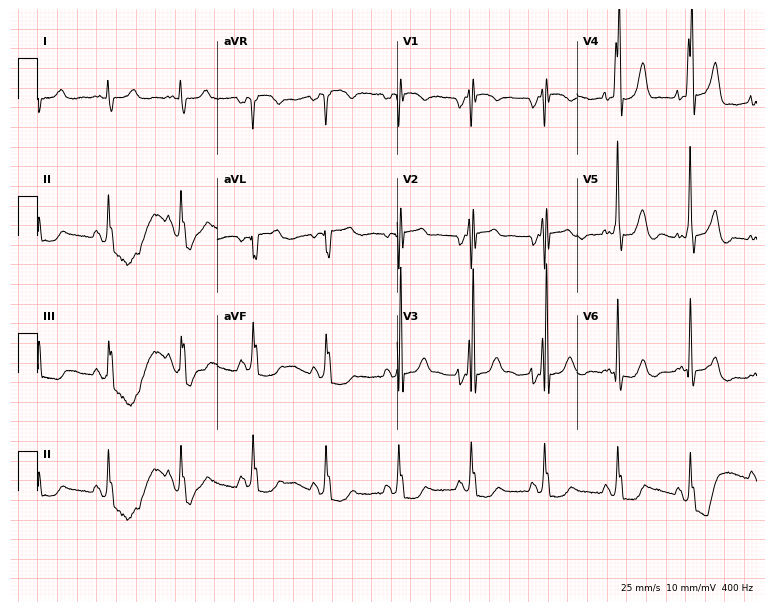
ECG — a woman, 46 years old. Screened for six findings — first-degree AV block, right bundle branch block, left bundle branch block, sinus bradycardia, atrial fibrillation, sinus tachycardia — none is recorded.